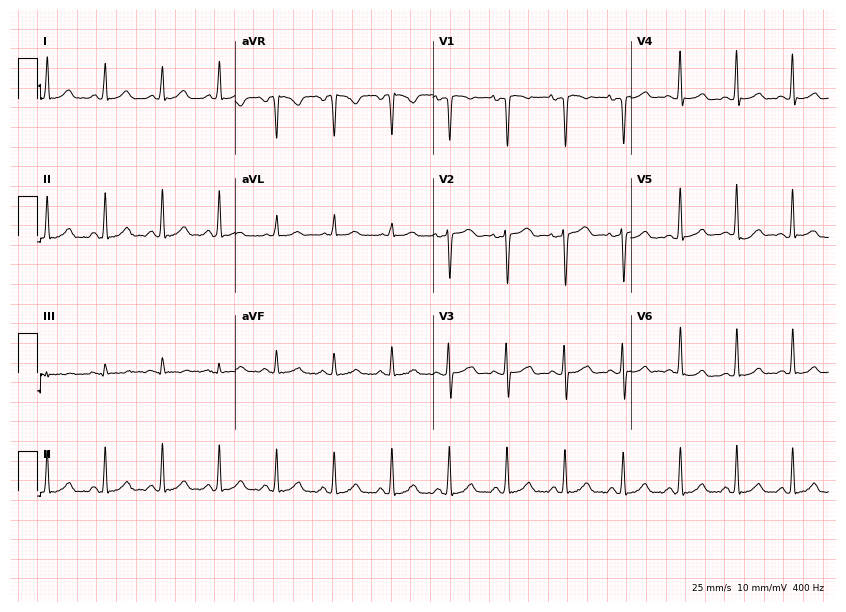
12-lead ECG (8.1-second recording at 400 Hz) from a female patient, 18 years old. Findings include sinus tachycardia (a sinus rate of 100 beats per minute or more).